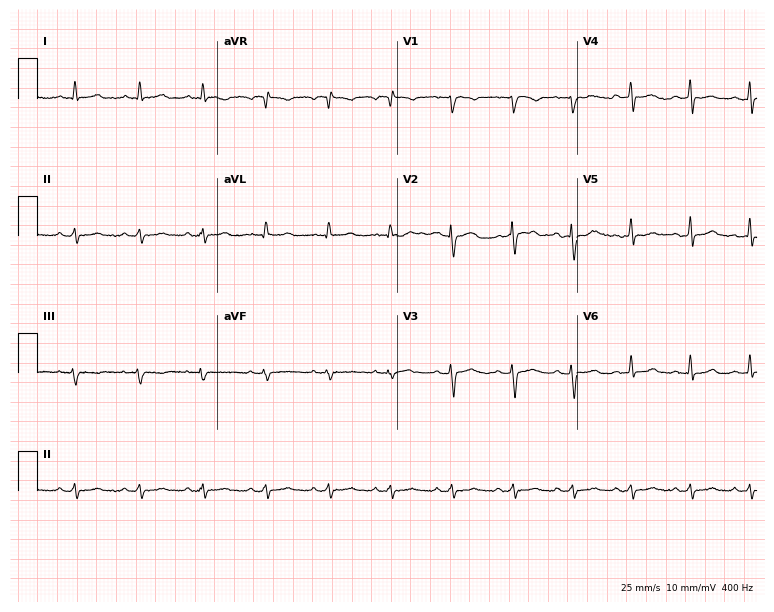
Standard 12-lead ECG recorded from a 20-year-old female patient. Read as a normal ECG.